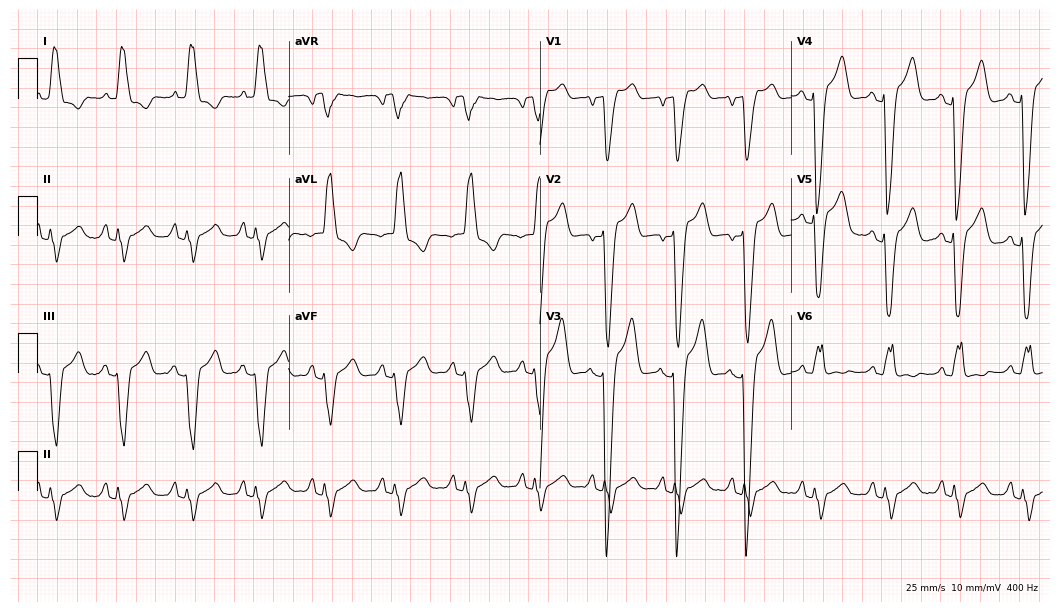
Standard 12-lead ECG recorded from a female patient, 50 years old. The tracing shows left bundle branch block (LBBB).